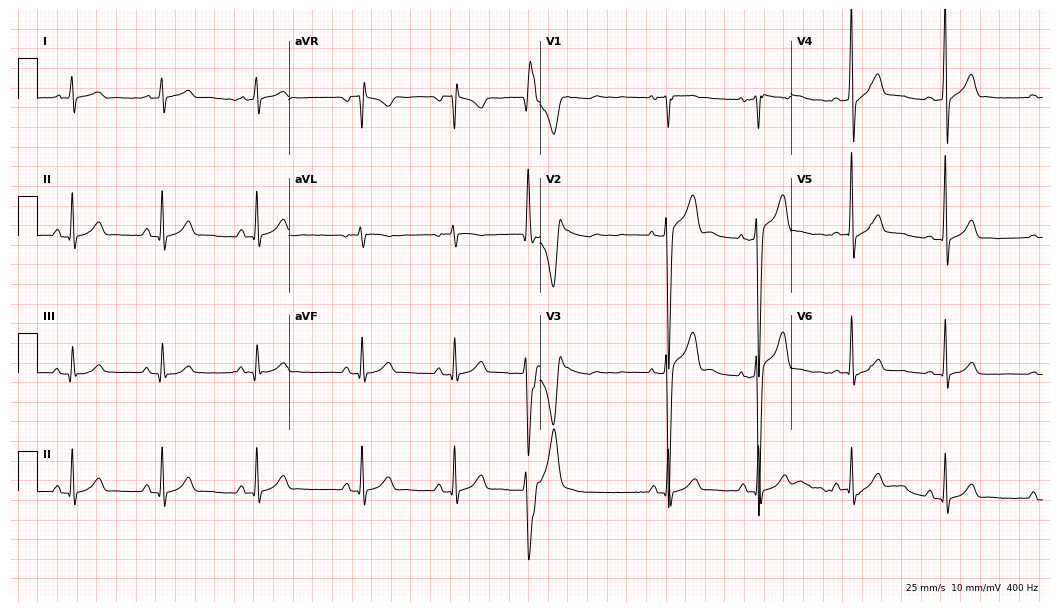
12-lead ECG from a man, 17 years old (10.2-second recording at 400 Hz). Recorded interpretation: within normal limits.